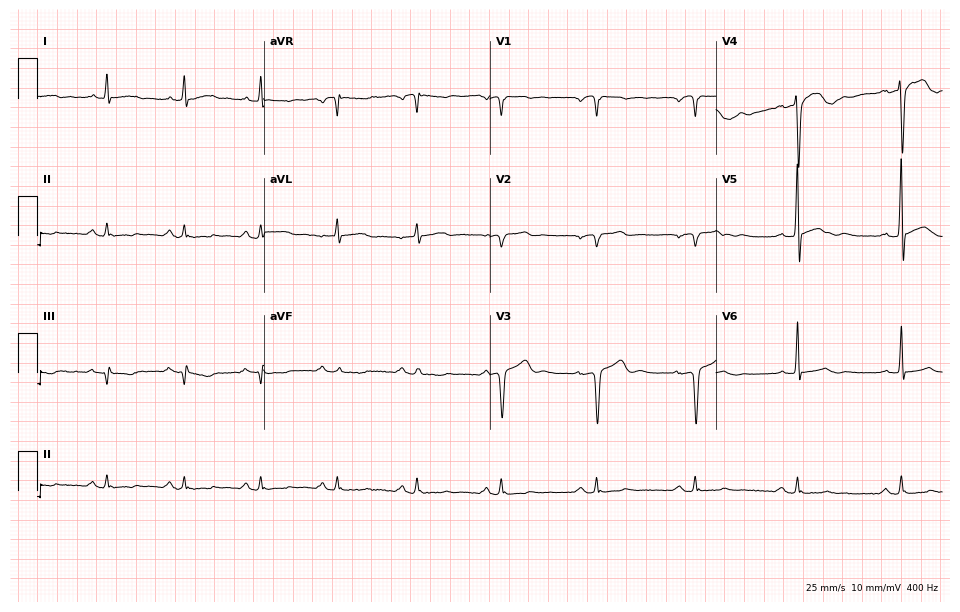
Standard 12-lead ECG recorded from a 48-year-old man (9.2-second recording at 400 Hz). None of these six findings is recorded: first-degree AV block, right bundle branch block (RBBB), left bundle branch block (LBBB), sinus bradycardia, atrial fibrillation (AF), sinus tachycardia.